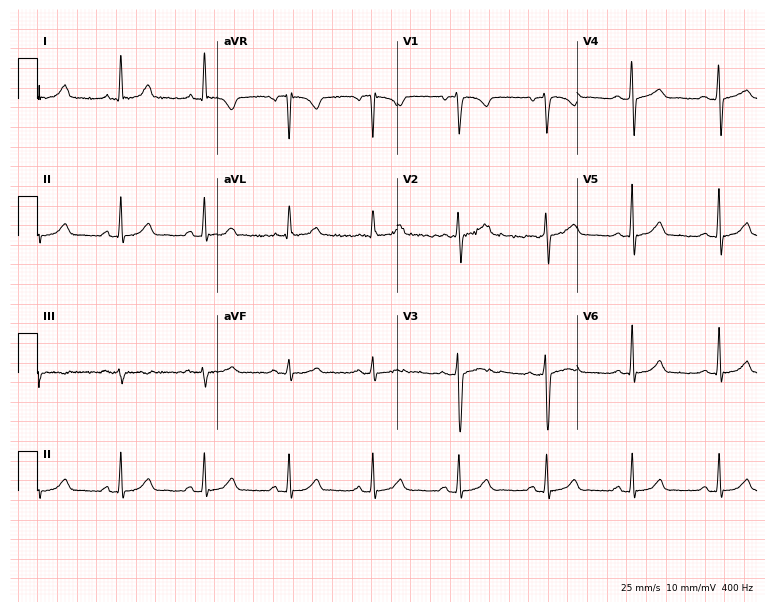
12-lead ECG from a woman, 44 years old. Labelled as a normal ECG.